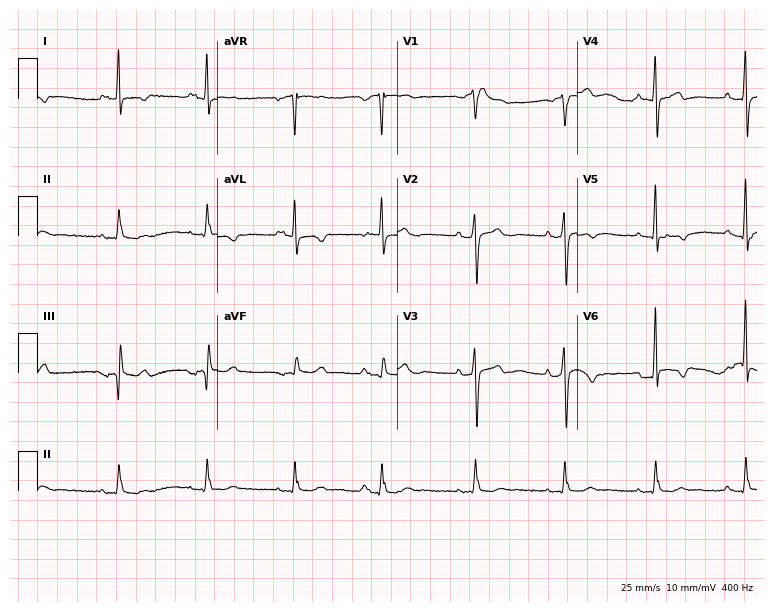
Resting 12-lead electrocardiogram (7.3-second recording at 400 Hz). Patient: a man, 78 years old. None of these six findings is recorded: first-degree AV block, right bundle branch block (RBBB), left bundle branch block (LBBB), sinus bradycardia, atrial fibrillation (AF), sinus tachycardia.